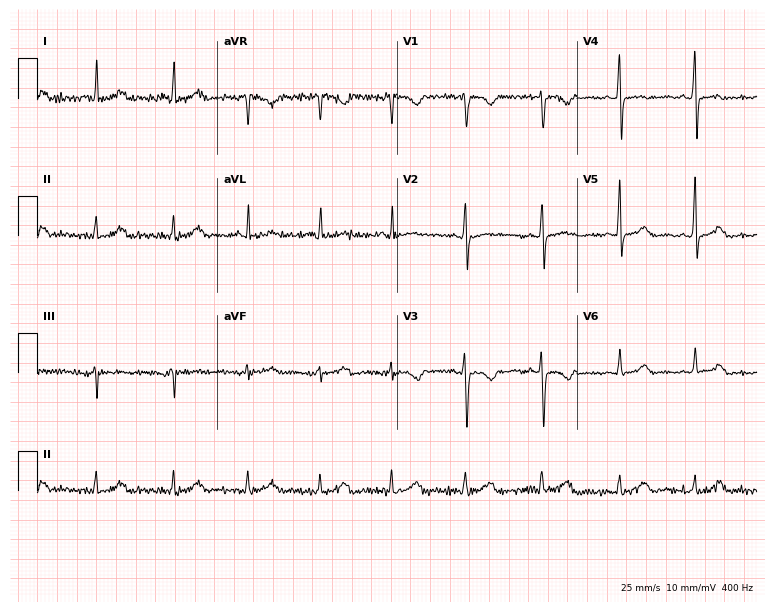
Resting 12-lead electrocardiogram (7.3-second recording at 400 Hz). Patient: a woman, 51 years old. None of these six findings is recorded: first-degree AV block, right bundle branch block, left bundle branch block, sinus bradycardia, atrial fibrillation, sinus tachycardia.